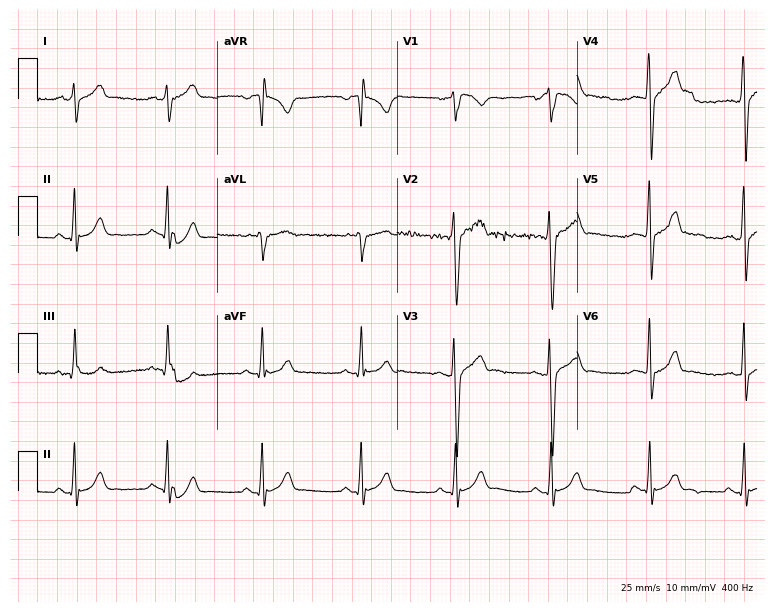
ECG — a 42-year-old male patient. Screened for six findings — first-degree AV block, right bundle branch block (RBBB), left bundle branch block (LBBB), sinus bradycardia, atrial fibrillation (AF), sinus tachycardia — none is recorded.